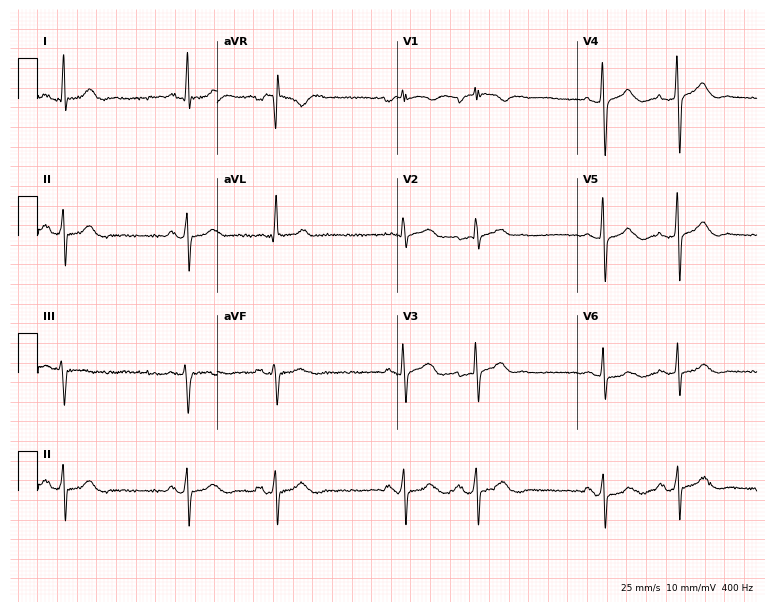
Standard 12-lead ECG recorded from a 76-year-old female (7.3-second recording at 400 Hz). None of these six findings is recorded: first-degree AV block, right bundle branch block (RBBB), left bundle branch block (LBBB), sinus bradycardia, atrial fibrillation (AF), sinus tachycardia. Other findings, if any, are not listed.